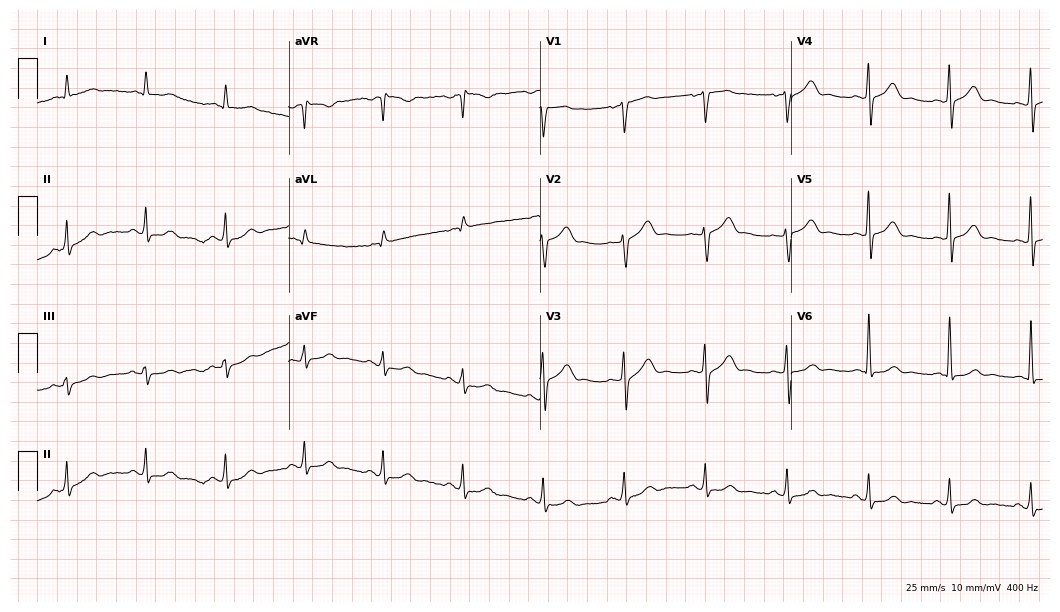
Electrocardiogram (10.2-second recording at 400 Hz), a male, 64 years old. Of the six screened findings (first-degree AV block, right bundle branch block, left bundle branch block, sinus bradycardia, atrial fibrillation, sinus tachycardia), none is recorded. Findings outside these six are not listed.